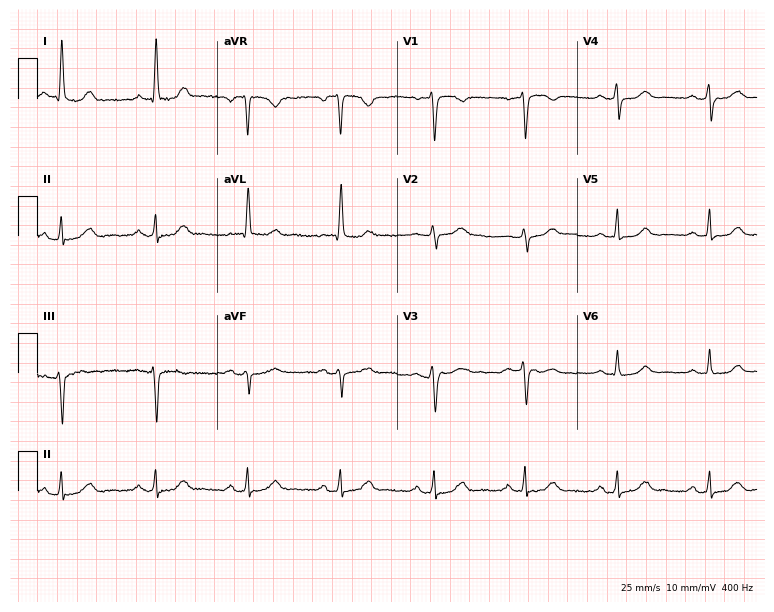
12-lead ECG from a 62-year-old woman (7.3-second recording at 400 Hz). Recorded interpretation: within normal limits.